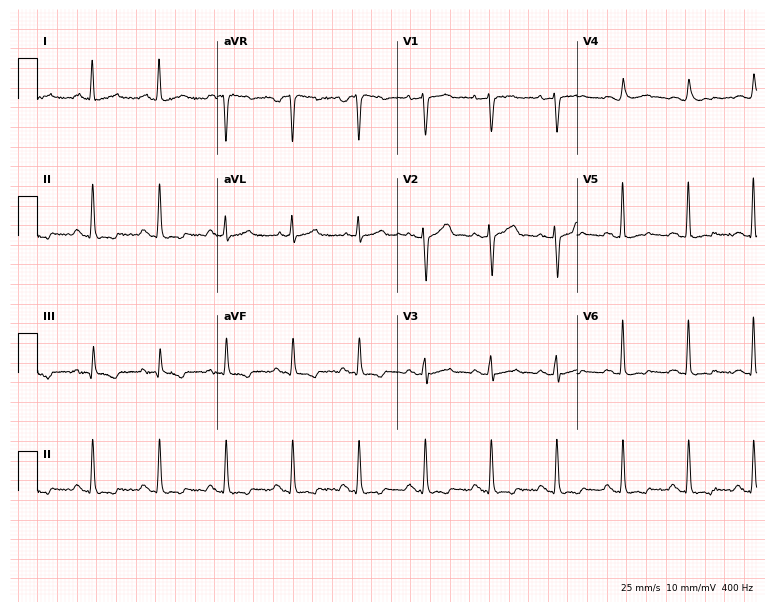
Resting 12-lead electrocardiogram (7.3-second recording at 400 Hz). Patient: a male, 44 years old. None of these six findings is recorded: first-degree AV block, right bundle branch block, left bundle branch block, sinus bradycardia, atrial fibrillation, sinus tachycardia.